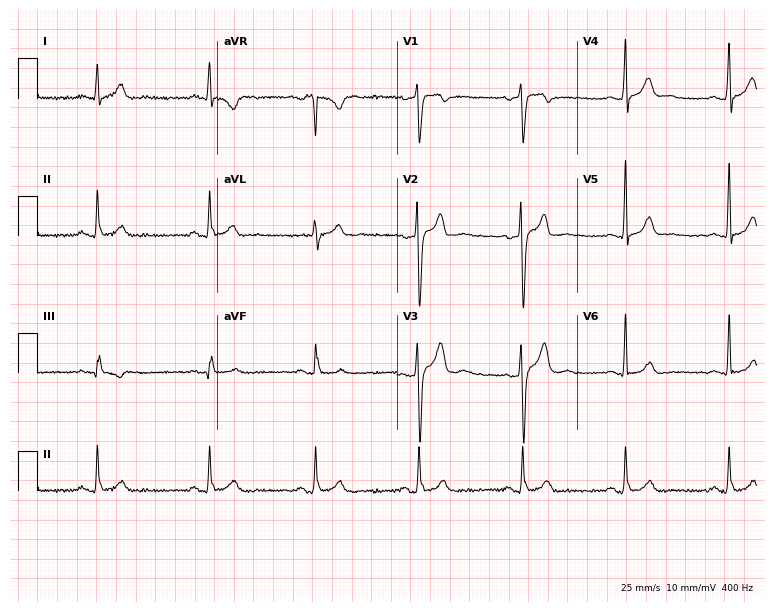
12-lead ECG (7.3-second recording at 400 Hz) from a 26-year-old man. Labelled as a normal ECG.